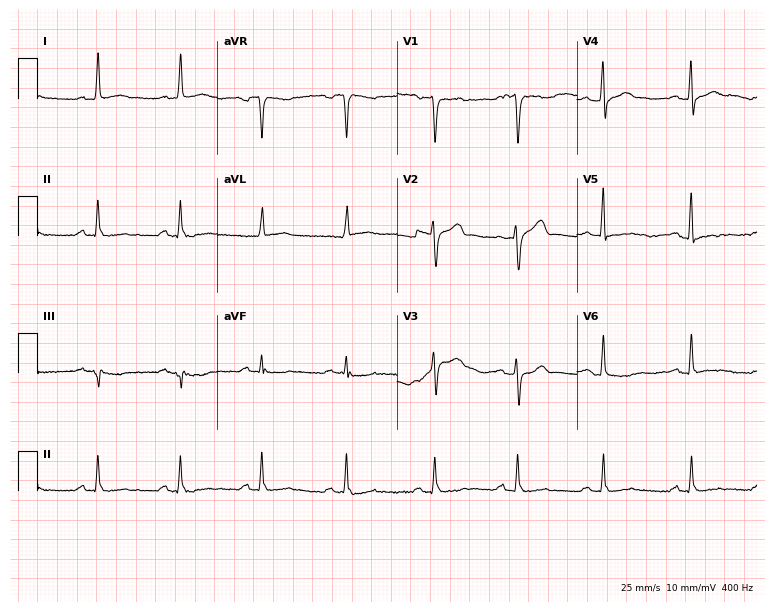
ECG (7.3-second recording at 400 Hz) — a 44-year-old male. Screened for six findings — first-degree AV block, right bundle branch block, left bundle branch block, sinus bradycardia, atrial fibrillation, sinus tachycardia — none is recorded. Other findings, if any, are not listed.